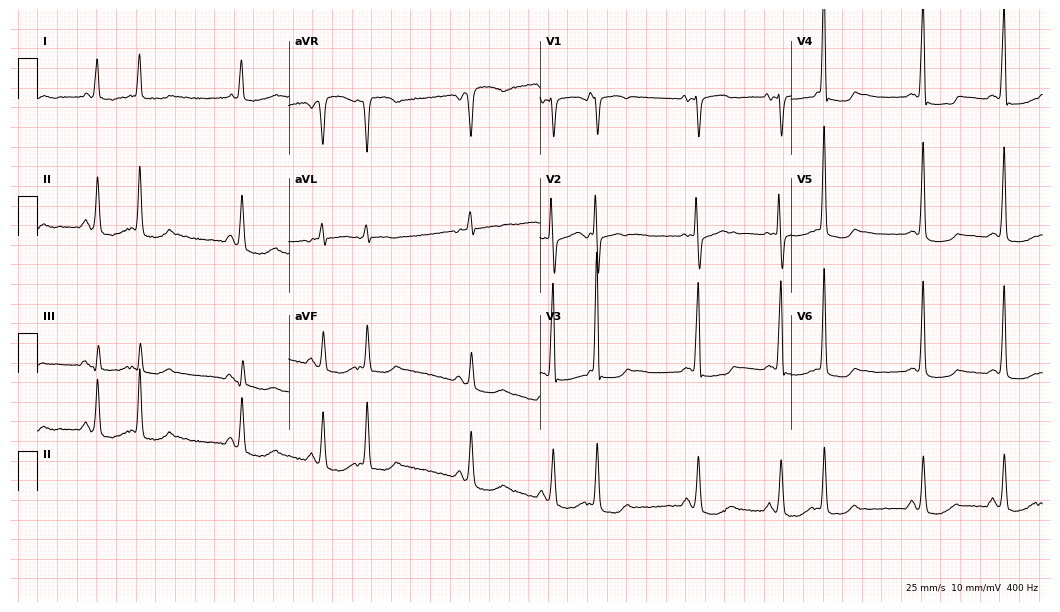
Resting 12-lead electrocardiogram (10.2-second recording at 400 Hz). Patient: an 83-year-old female. None of these six findings is recorded: first-degree AV block, right bundle branch block, left bundle branch block, sinus bradycardia, atrial fibrillation, sinus tachycardia.